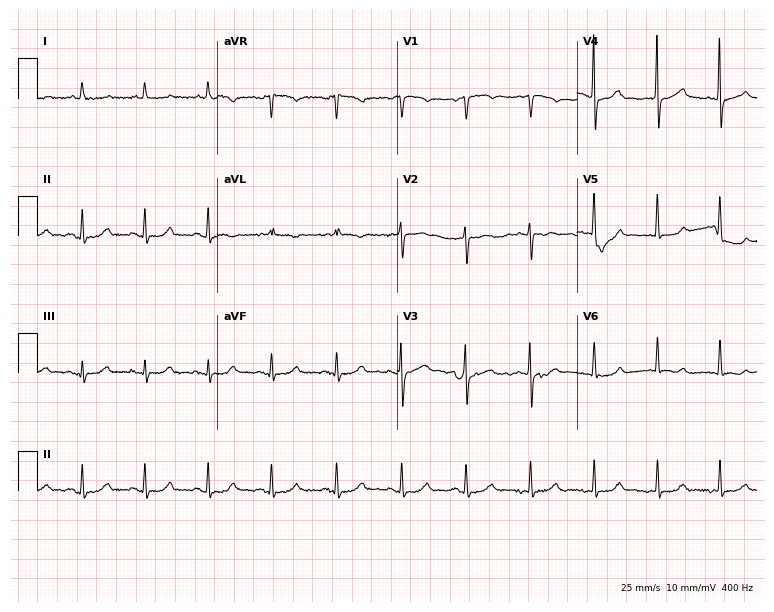
12-lead ECG from a female patient, 81 years old. Screened for six findings — first-degree AV block, right bundle branch block (RBBB), left bundle branch block (LBBB), sinus bradycardia, atrial fibrillation (AF), sinus tachycardia — none is recorded.